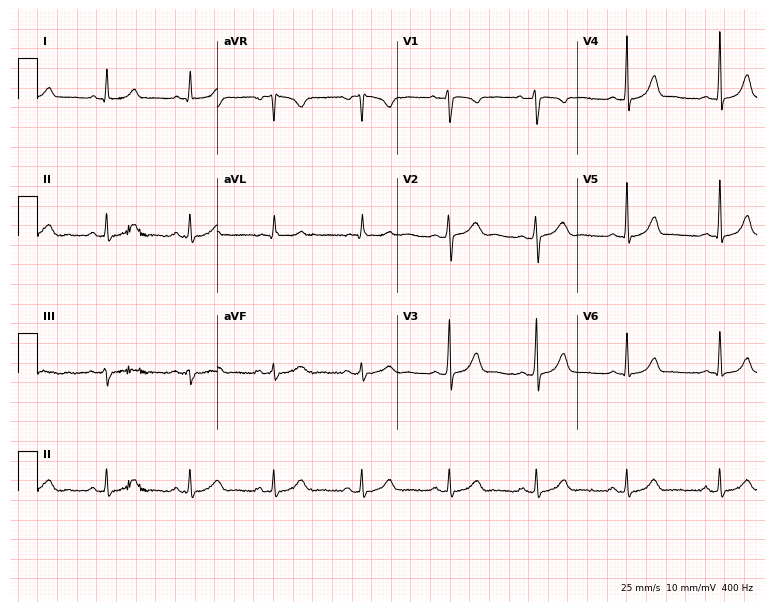
Electrocardiogram, a female, 24 years old. Overall reading on record: normal ECG.